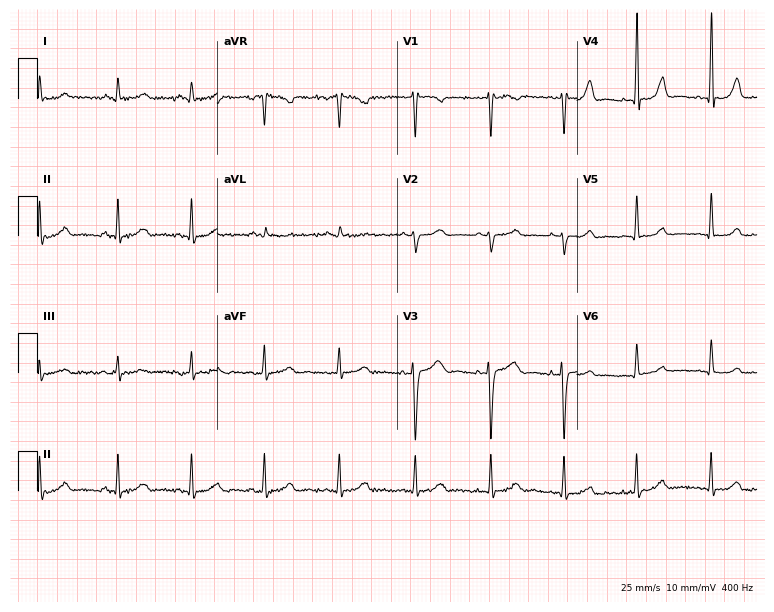
12-lead ECG from a 33-year-old female patient (7.3-second recording at 400 Hz). No first-degree AV block, right bundle branch block, left bundle branch block, sinus bradycardia, atrial fibrillation or sinus tachycardia recorded for this tracing. Findings outside these six are not listed.